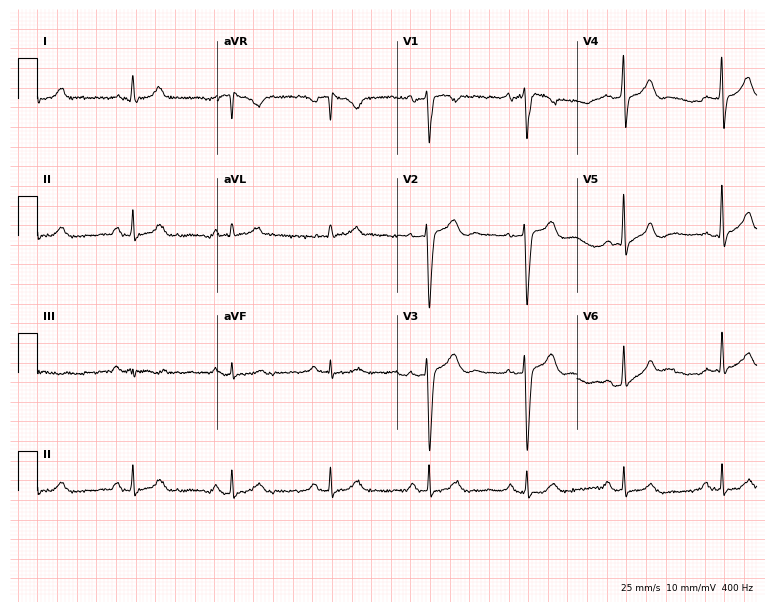
12-lead ECG from a male patient, 66 years old. Screened for six findings — first-degree AV block, right bundle branch block, left bundle branch block, sinus bradycardia, atrial fibrillation, sinus tachycardia — none is recorded. Findings outside these six are not listed.